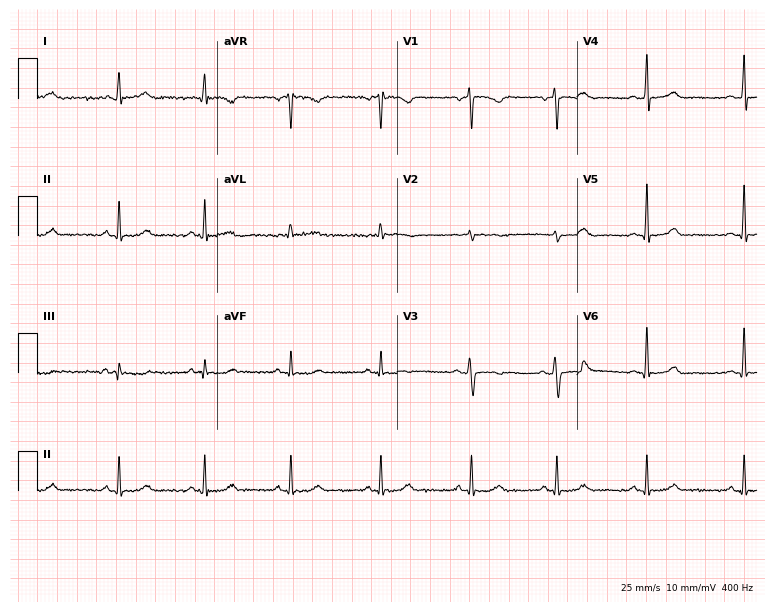
Resting 12-lead electrocardiogram (7.3-second recording at 400 Hz). Patient: a woman, 38 years old. Read as a normal ECG.